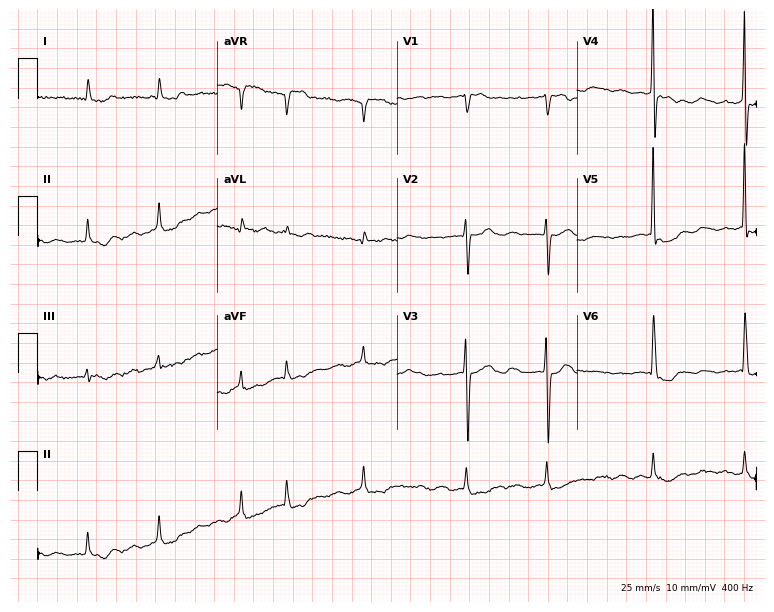
ECG (7.3-second recording at 400 Hz) — a female, 79 years old. Screened for six findings — first-degree AV block, right bundle branch block, left bundle branch block, sinus bradycardia, atrial fibrillation, sinus tachycardia — none is recorded.